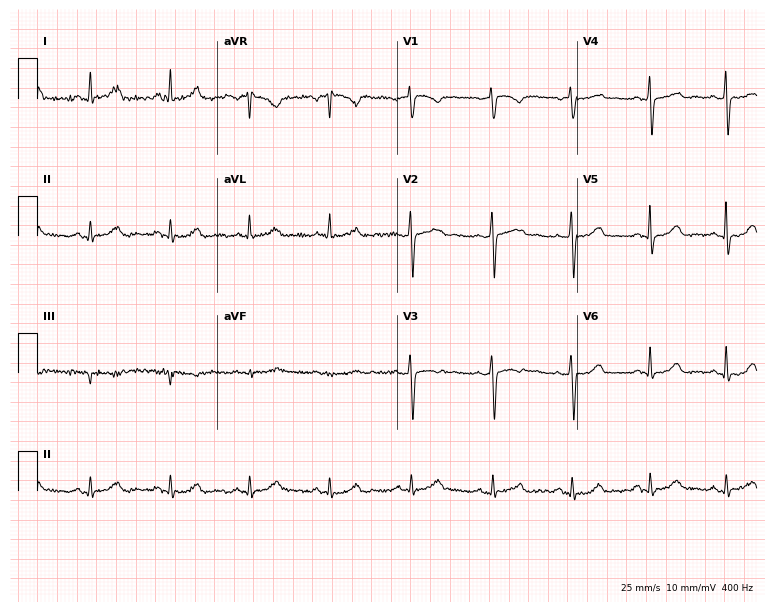
12-lead ECG from a 49-year-old male patient (7.3-second recording at 400 Hz). Recorded interpretation: within normal limits.